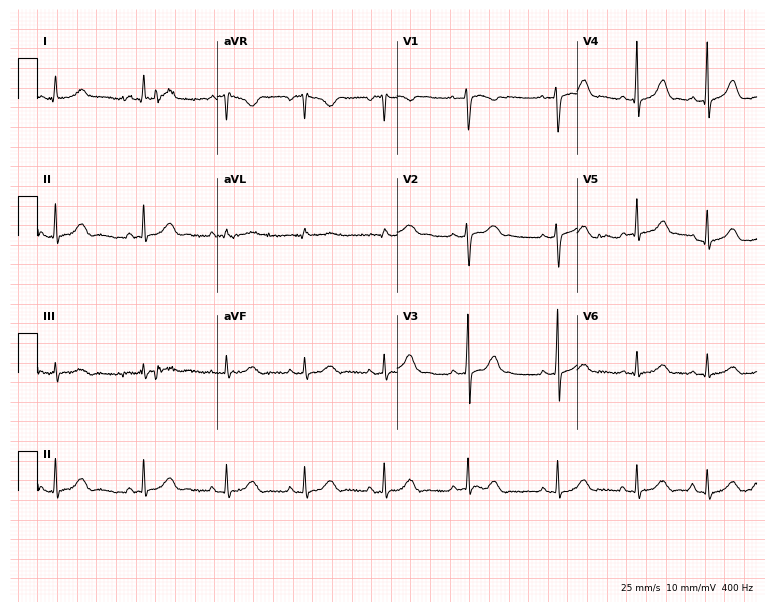
12-lead ECG from a 20-year-old female. Screened for six findings — first-degree AV block, right bundle branch block, left bundle branch block, sinus bradycardia, atrial fibrillation, sinus tachycardia — none is recorded.